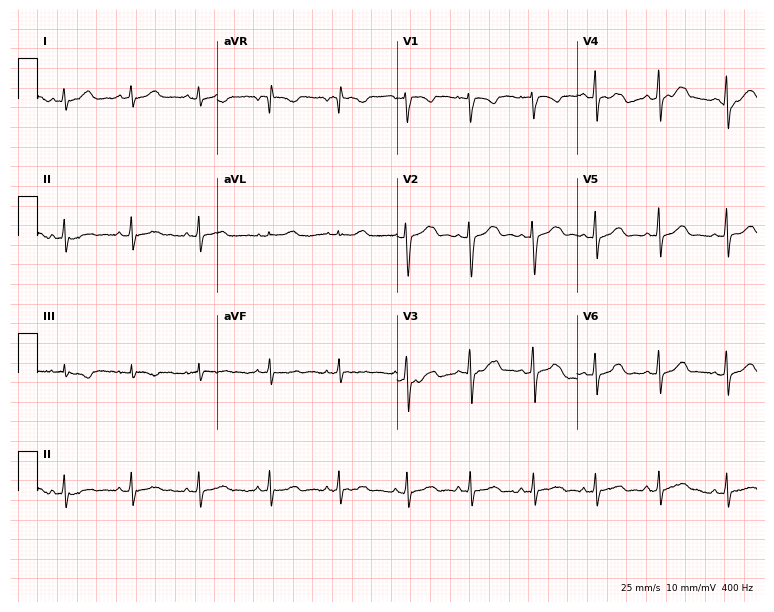
ECG (7.3-second recording at 400 Hz) — a female, 21 years old. Labelled as a normal ECG.